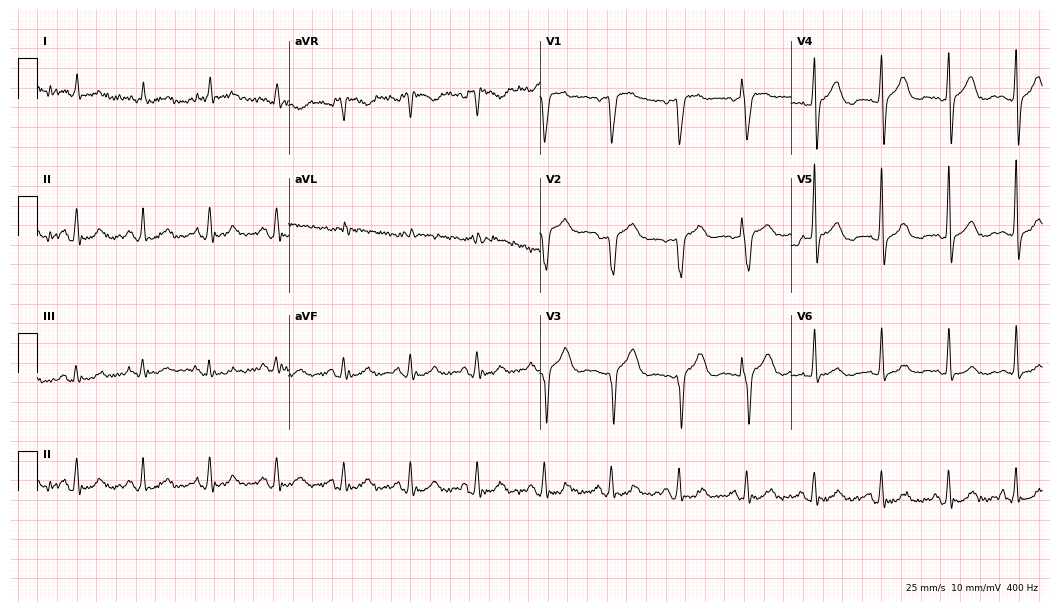
12-lead ECG from a 74-year-old male. Recorded interpretation: within normal limits.